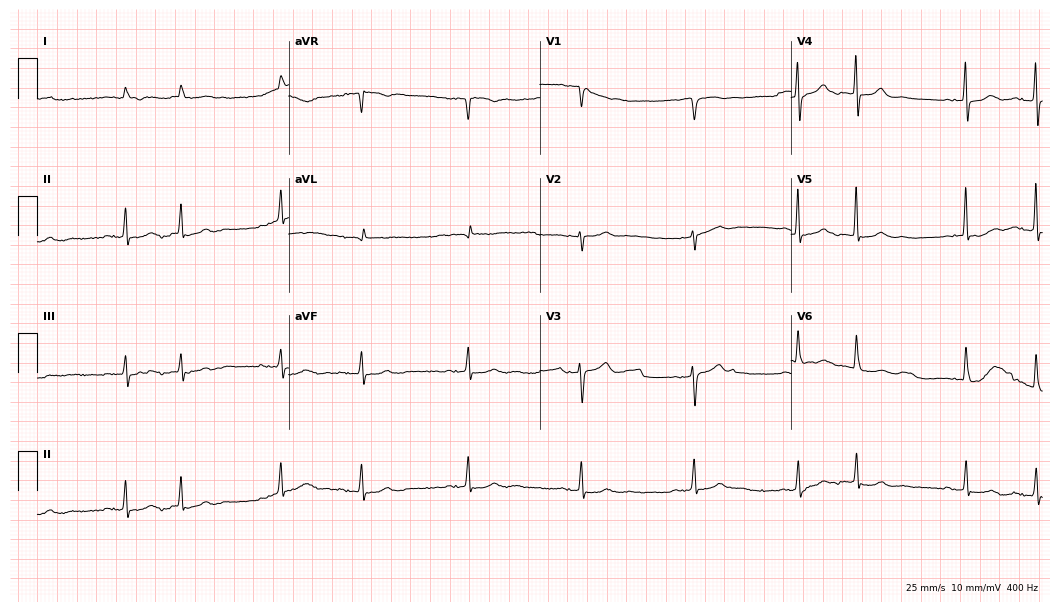
Standard 12-lead ECG recorded from a male patient, 83 years old. None of these six findings is recorded: first-degree AV block, right bundle branch block (RBBB), left bundle branch block (LBBB), sinus bradycardia, atrial fibrillation (AF), sinus tachycardia.